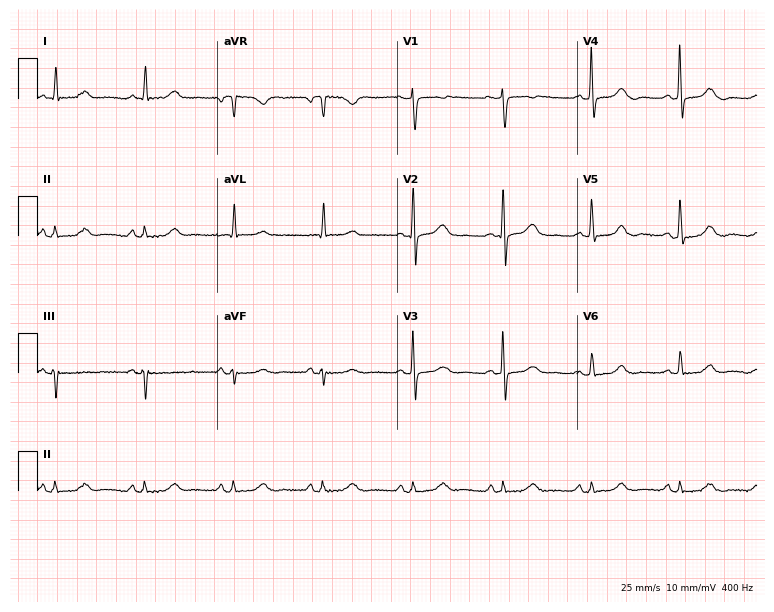
Resting 12-lead electrocardiogram. Patient: a 64-year-old female. None of these six findings is recorded: first-degree AV block, right bundle branch block (RBBB), left bundle branch block (LBBB), sinus bradycardia, atrial fibrillation (AF), sinus tachycardia. Findings outside these six are not listed.